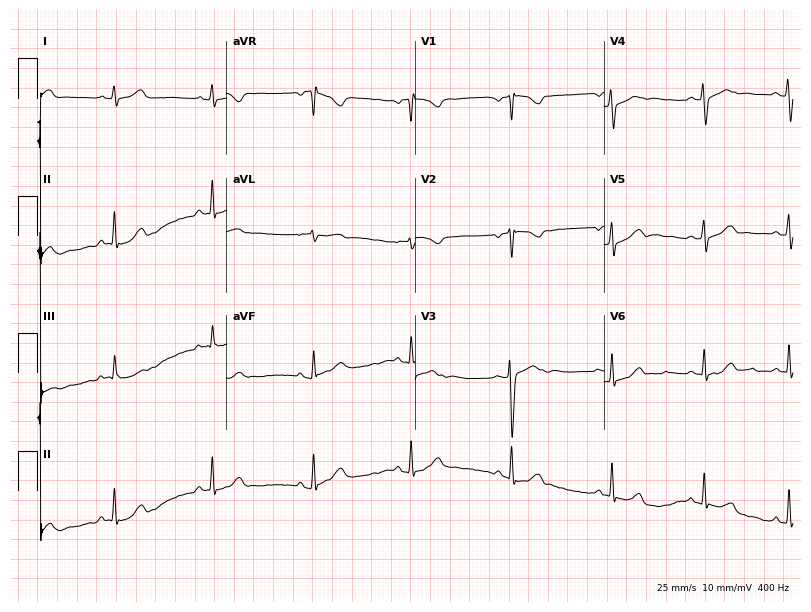
12-lead ECG (7.7-second recording at 400 Hz) from a 23-year-old female patient. Labelled as a normal ECG.